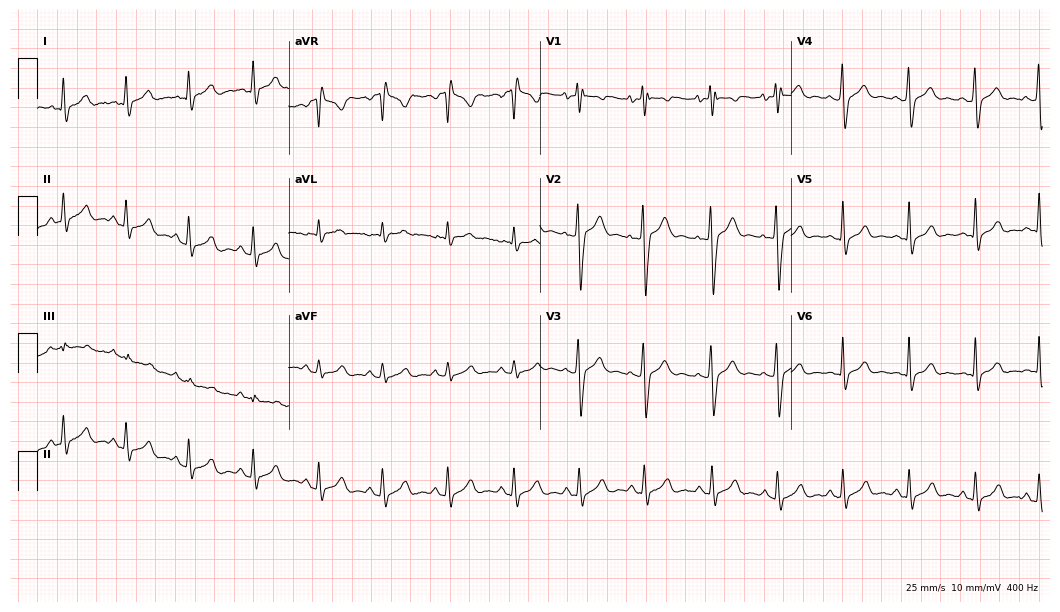
ECG (10.2-second recording at 400 Hz) — a 21-year-old man. Labelled as a normal ECG.